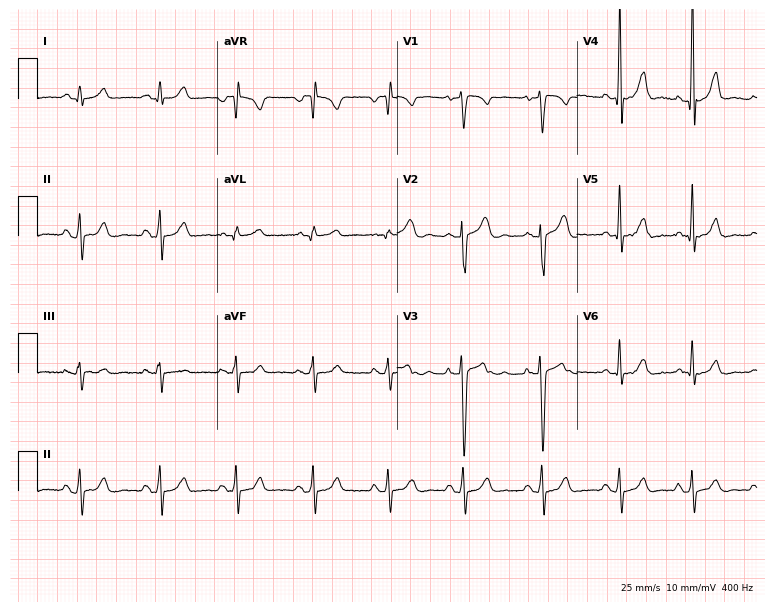
12-lead ECG from a male patient, 17 years old. Labelled as a normal ECG.